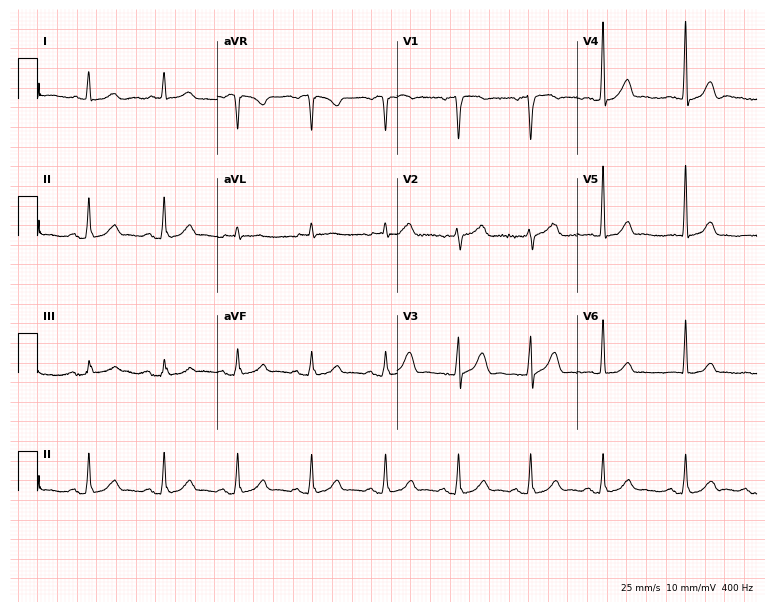
Electrocardiogram, a woman, 46 years old. Of the six screened findings (first-degree AV block, right bundle branch block (RBBB), left bundle branch block (LBBB), sinus bradycardia, atrial fibrillation (AF), sinus tachycardia), none is recorded. Findings outside these six are not listed.